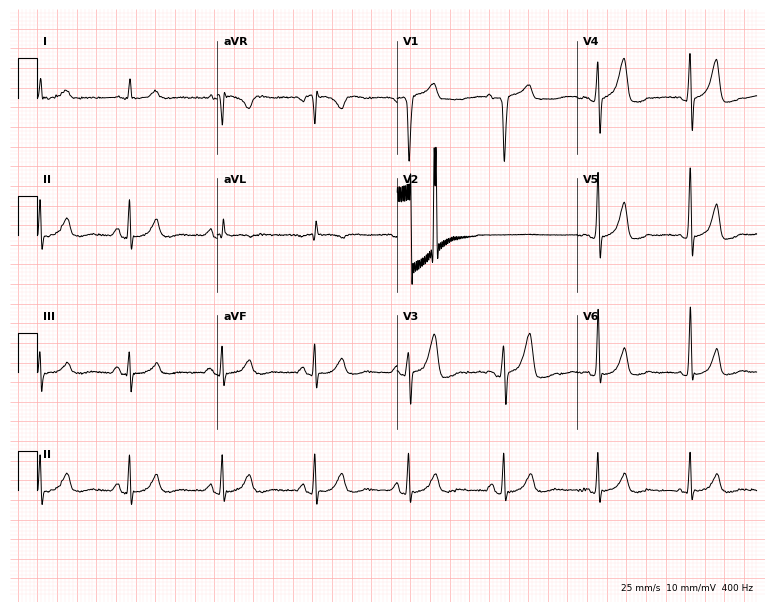
12-lead ECG from a male patient, 69 years old. No first-degree AV block, right bundle branch block (RBBB), left bundle branch block (LBBB), sinus bradycardia, atrial fibrillation (AF) or sinus tachycardia recorded for this tracing. Only these six findings were labelled.